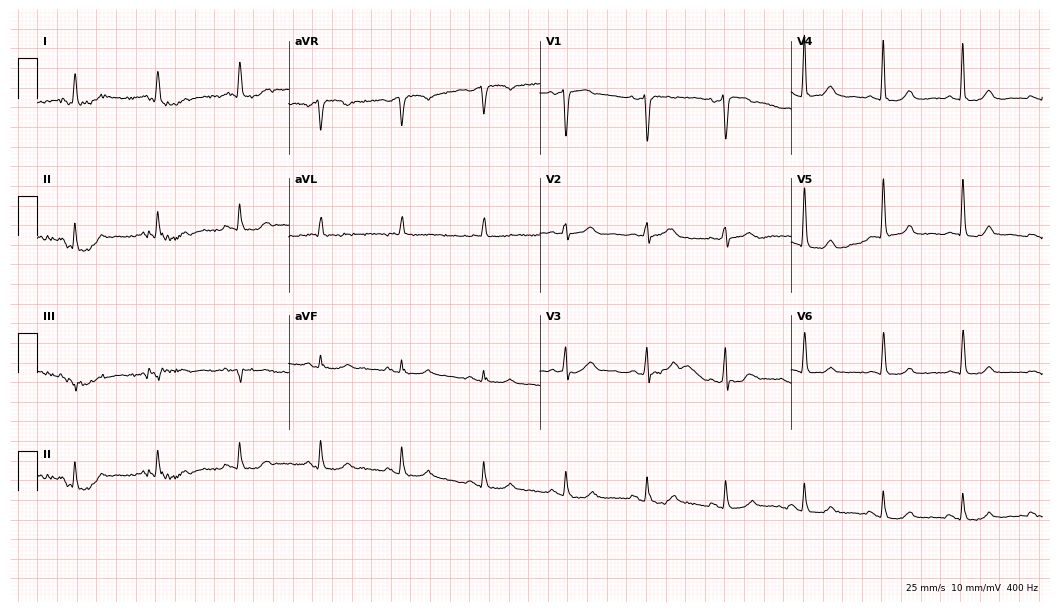
12-lead ECG from a man, 72 years old. Screened for six findings — first-degree AV block, right bundle branch block, left bundle branch block, sinus bradycardia, atrial fibrillation, sinus tachycardia — none is recorded. Other findings, if any, are not listed.